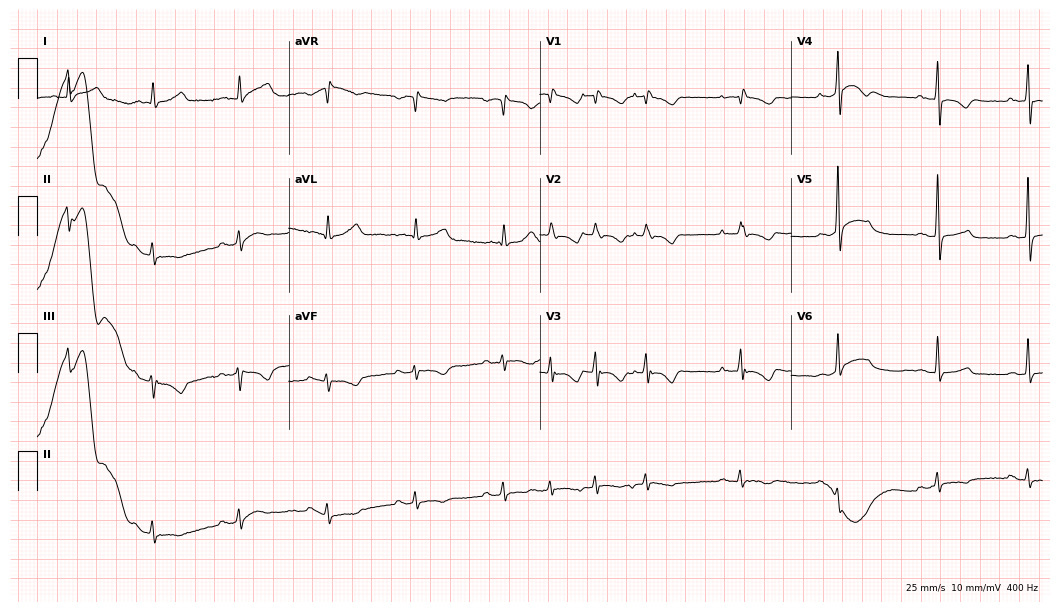
Standard 12-lead ECG recorded from an 81-year-old male. None of these six findings is recorded: first-degree AV block, right bundle branch block, left bundle branch block, sinus bradycardia, atrial fibrillation, sinus tachycardia. Other findings, if any, are not listed.